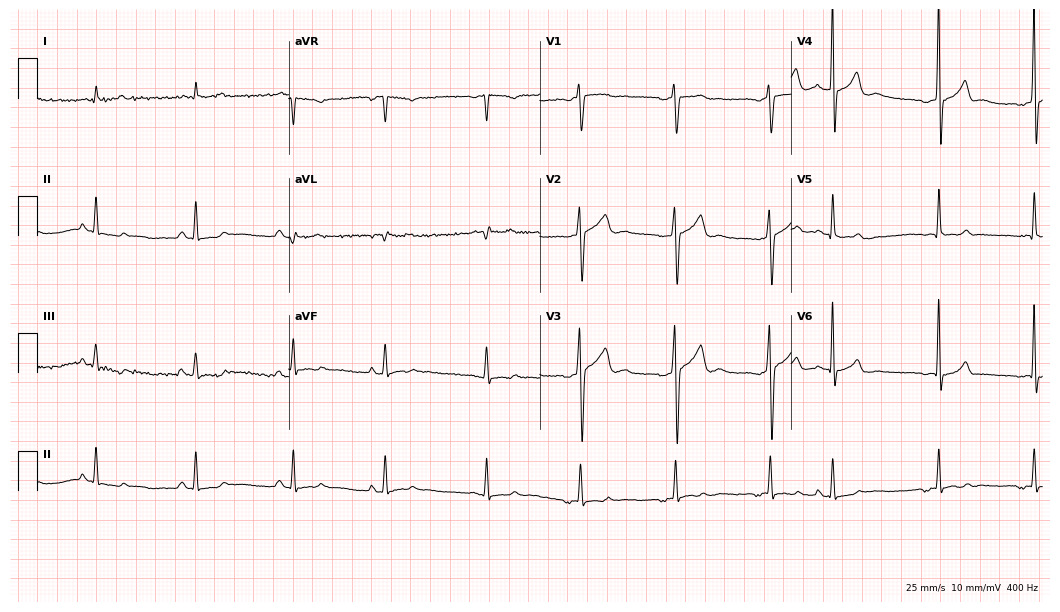
Resting 12-lead electrocardiogram. Patient: an 83-year-old man. Read as a normal ECG.